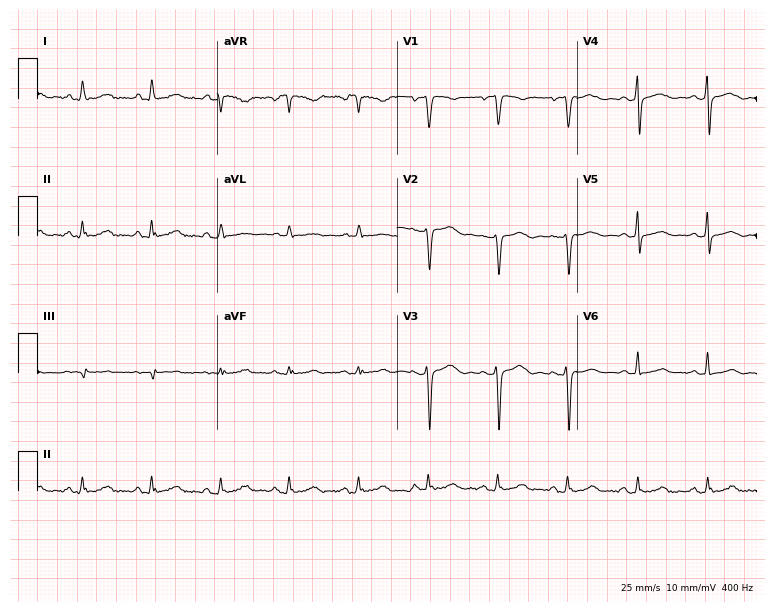
Electrocardiogram (7.3-second recording at 400 Hz), a 51-year-old female patient. Of the six screened findings (first-degree AV block, right bundle branch block (RBBB), left bundle branch block (LBBB), sinus bradycardia, atrial fibrillation (AF), sinus tachycardia), none is recorded.